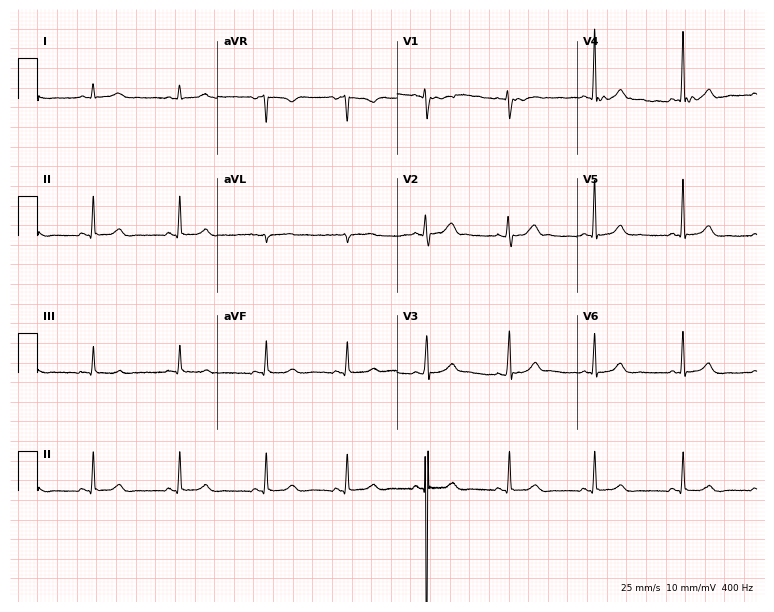
Standard 12-lead ECG recorded from a 40-year-old woman. Read as a normal ECG.